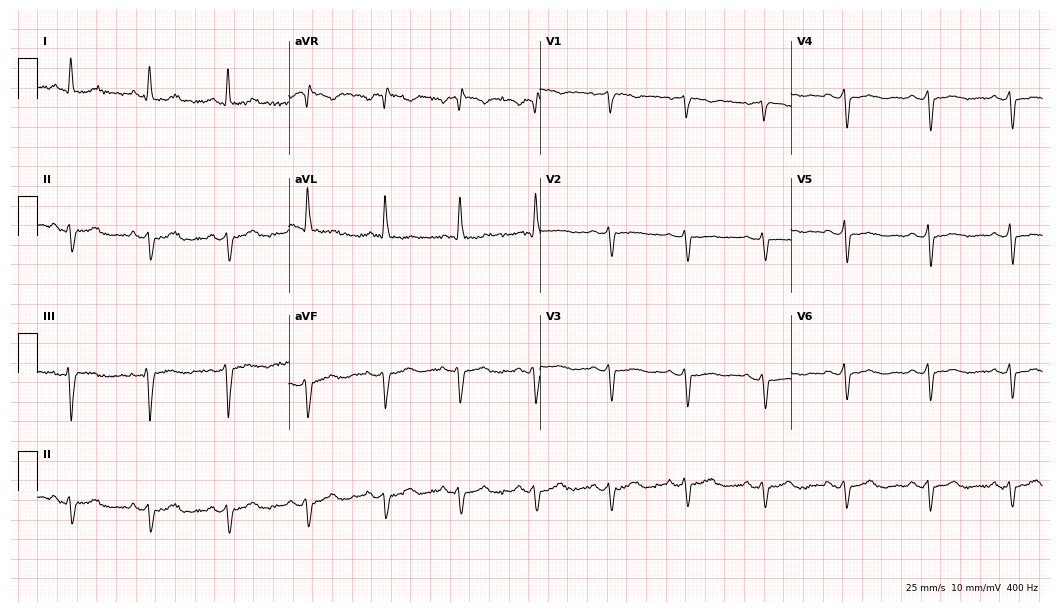
Resting 12-lead electrocardiogram (10.2-second recording at 400 Hz). Patient: a 57-year-old woman. None of these six findings is recorded: first-degree AV block, right bundle branch block, left bundle branch block, sinus bradycardia, atrial fibrillation, sinus tachycardia.